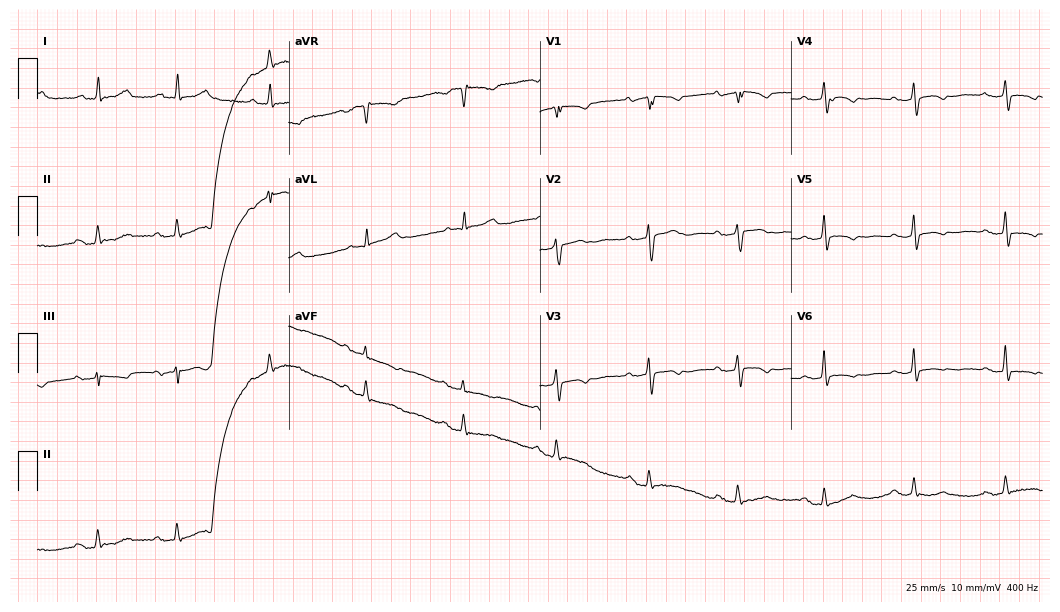
Electrocardiogram, a 63-year-old woman. Of the six screened findings (first-degree AV block, right bundle branch block (RBBB), left bundle branch block (LBBB), sinus bradycardia, atrial fibrillation (AF), sinus tachycardia), none is recorded.